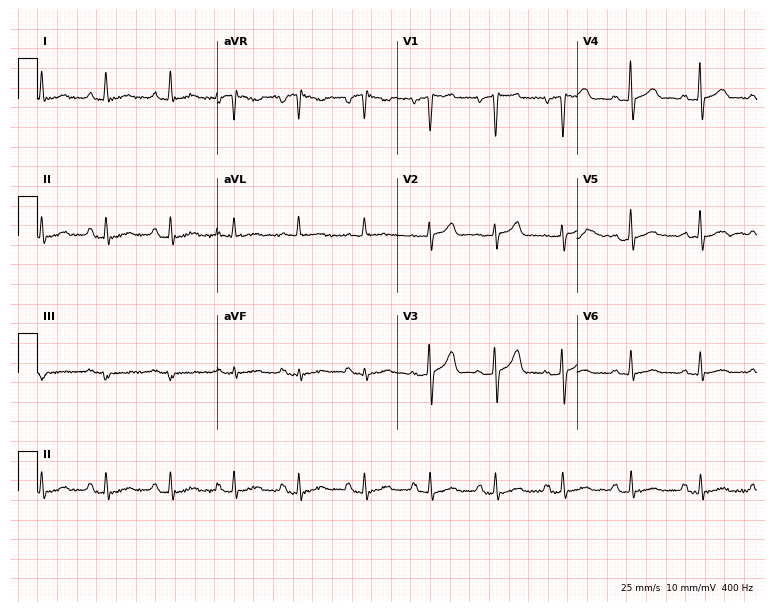
Electrocardiogram (7.3-second recording at 400 Hz), a 74-year-old male. Of the six screened findings (first-degree AV block, right bundle branch block, left bundle branch block, sinus bradycardia, atrial fibrillation, sinus tachycardia), none is recorded. Other findings, if any, are not listed.